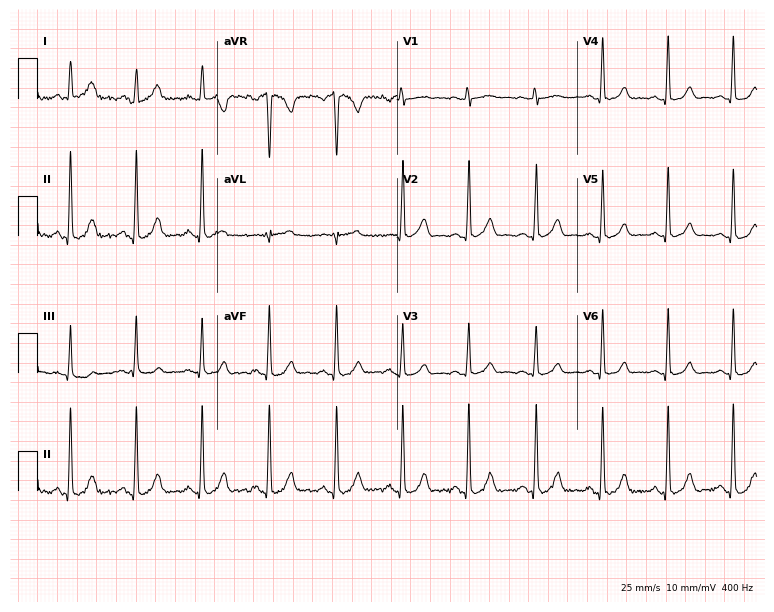
Resting 12-lead electrocardiogram (7.3-second recording at 400 Hz). Patient: a woman, 19 years old. Read as a normal ECG.